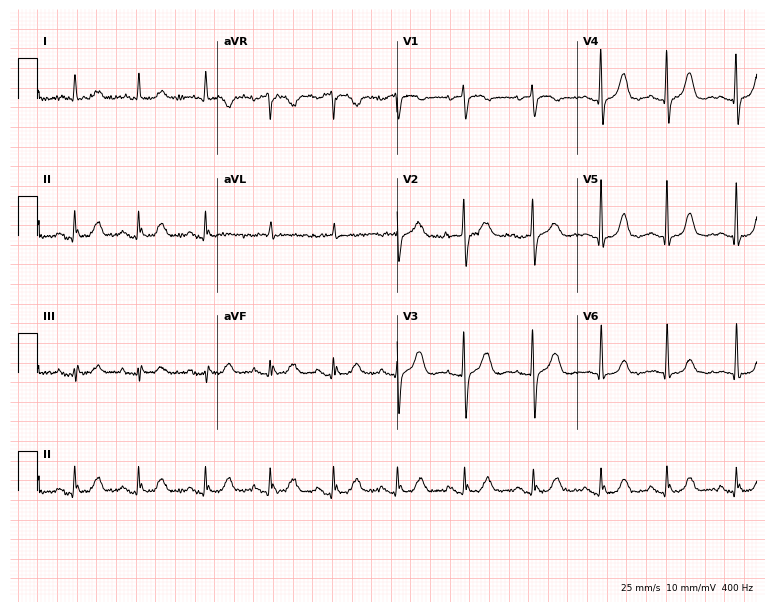
Resting 12-lead electrocardiogram (7.3-second recording at 400 Hz). Patient: a female, 85 years old. None of these six findings is recorded: first-degree AV block, right bundle branch block (RBBB), left bundle branch block (LBBB), sinus bradycardia, atrial fibrillation (AF), sinus tachycardia.